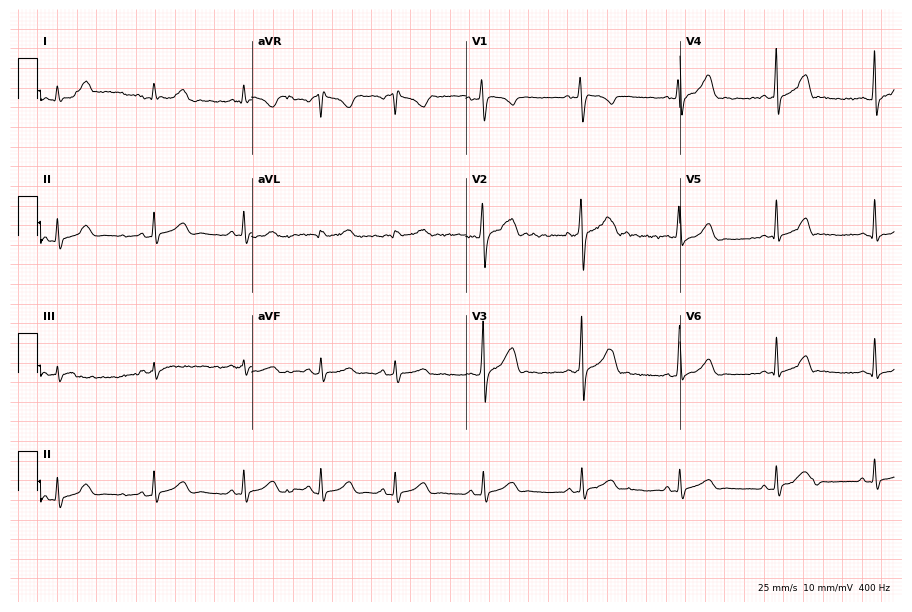
ECG (8.7-second recording at 400 Hz) — an 18-year-old male patient. Labelled as a normal ECG.